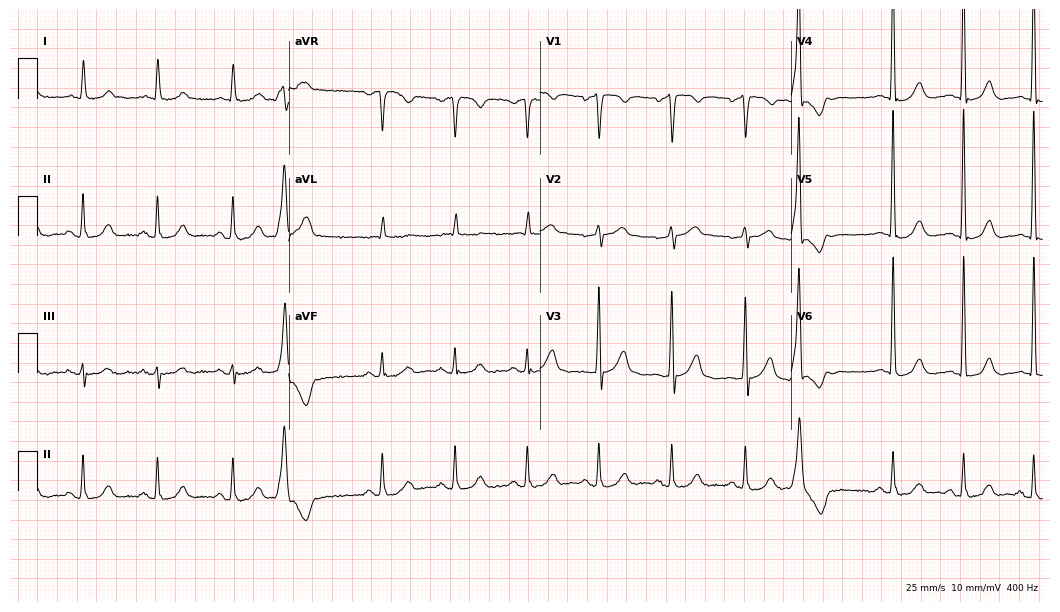
Electrocardiogram, a male patient, 80 years old. Of the six screened findings (first-degree AV block, right bundle branch block, left bundle branch block, sinus bradycardia, atrial fibrillation, sinus tachycardia), none is recorded. Only these six findings were labelled.